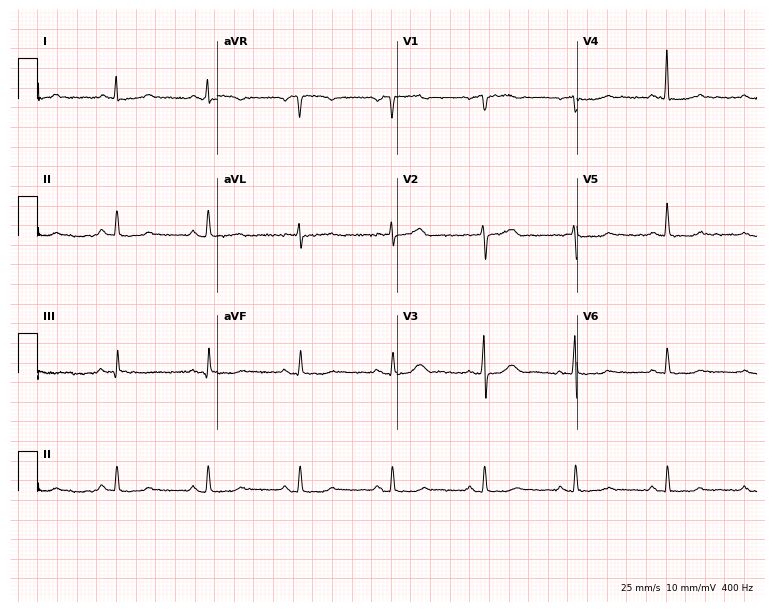
Electrocardiogram, a 68-year-old woman. Of the six screened findings (first-degree AV block, right bundle branch block (RBBB), left bundle branch block (LBBB), sinus bradycardia, atrial fibrillation (AF), sinus tachycardia), none is recorded. Findings outside these six are not listed.